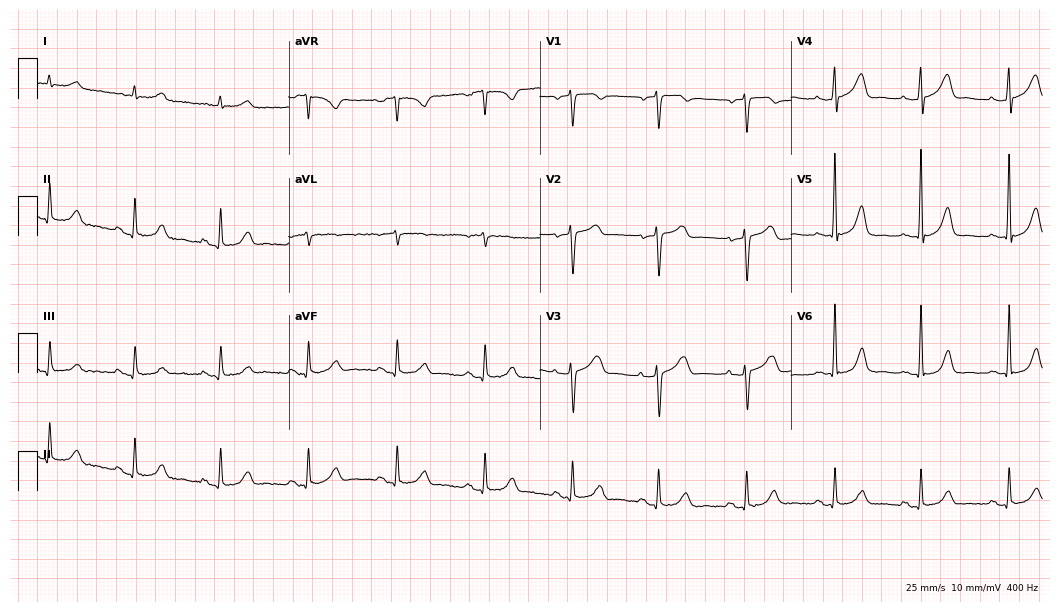
12-lead ECG from a 73-year-old female. Recorded interpretation: within normal limits.